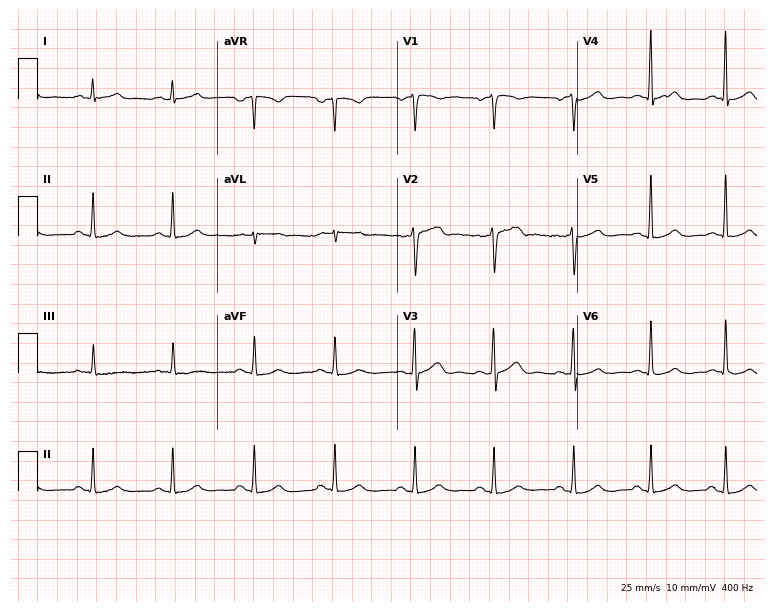
Resting 12-lead electrocardiogram (7.3-second recording at 400 Hz). Patient: a 50-year-old man. Read as a normal ECG.